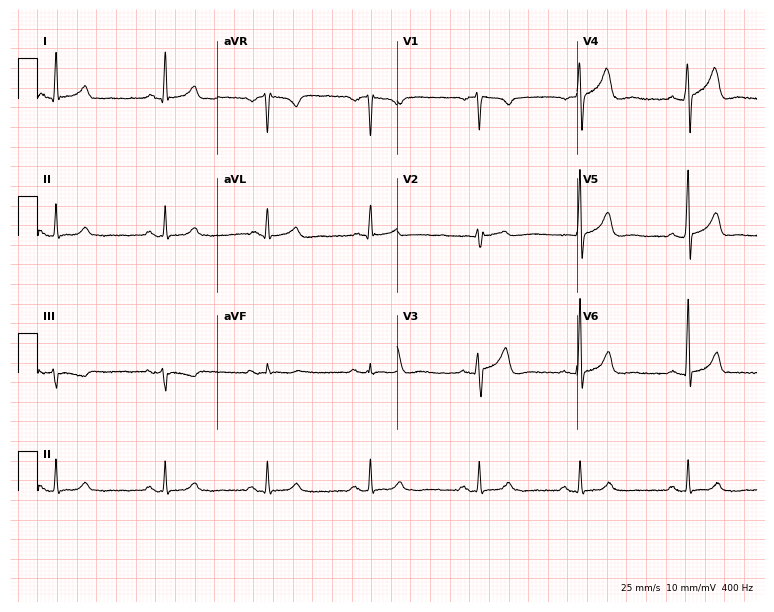
Standard 12-lead ECG recorded from a 52-year-old man (7.3-second recording at 400 Hz). Read as a normal ECG.